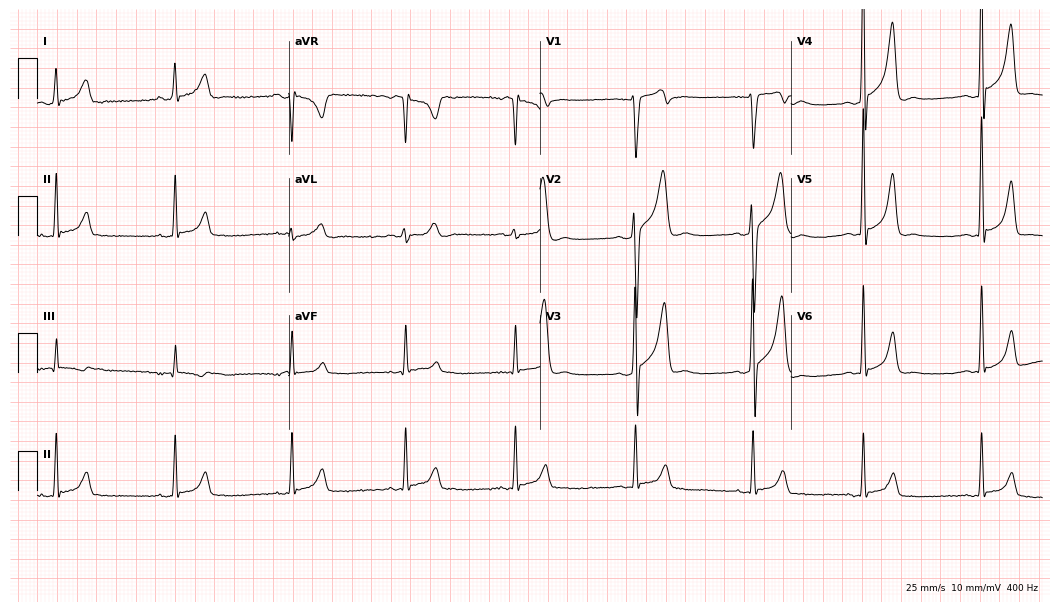
12-lead ECG from a 24-year-old male patient (10.2-second recording at 400 Hz). No first-degree AV block, right bundle branch block (RBBB), left bundle branch block (LBBB), sinus bradycardia, atrial fibrillation (AF) or sinus tachycardia recorded for this tracing. Other findings, if any, are not listed.